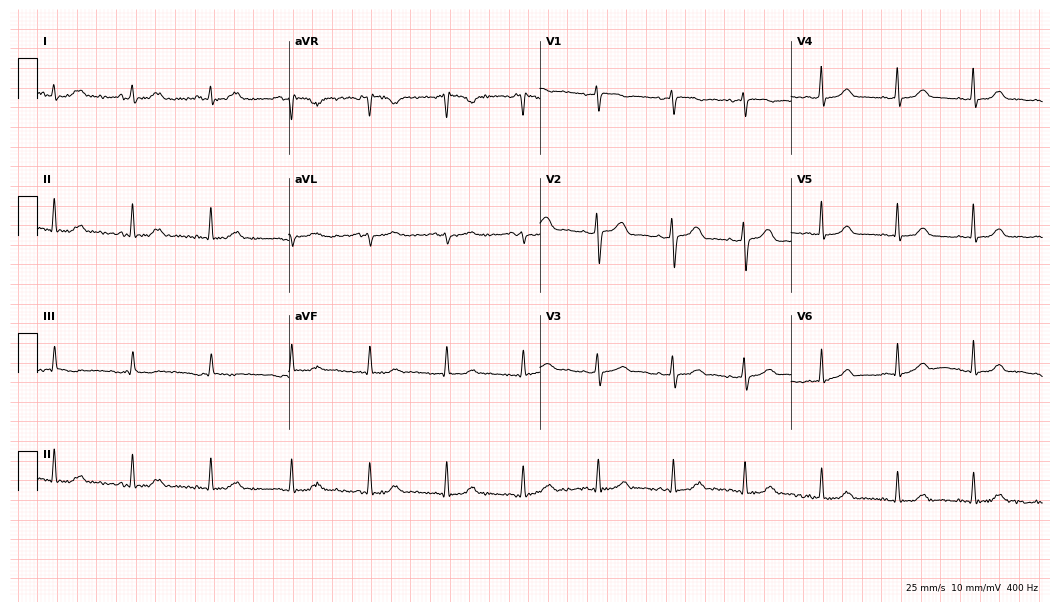
Resting 12-lead electrocardiogram. Patient: a woman, 50 years old. Read as a normal ECG.